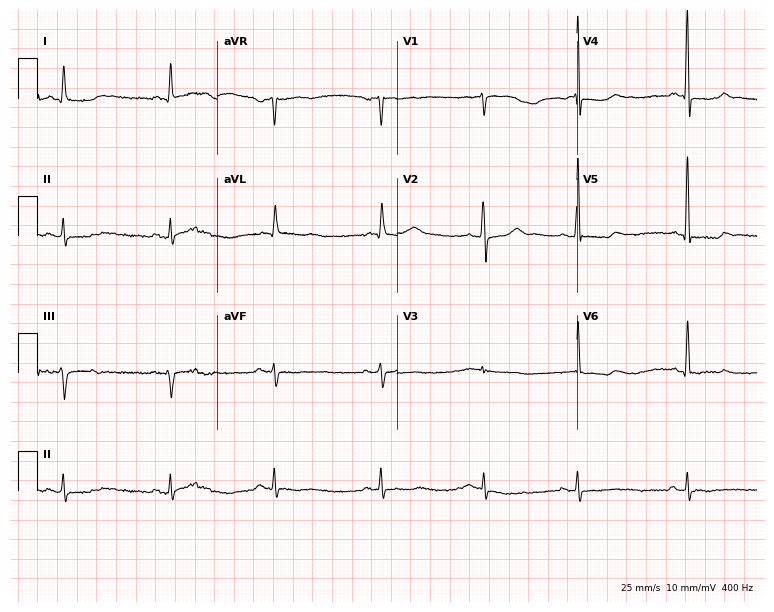
12-lead ECG from a 74-year-old man. No first-degree AV block, right bundle branch block (RBBB), left bundle branch block (LBBB), sinus bradycardia, atrial fibrillation (AF) or sinus tachycardia recorded for this tracing. Only these six findings were labelled.